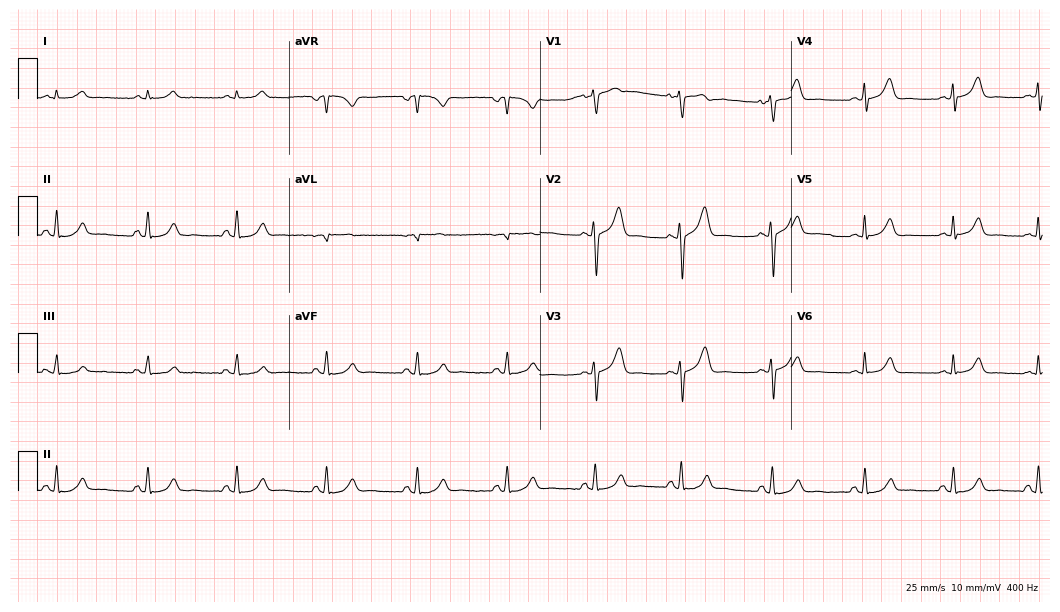
12-lead ECG from a 51-year-old female patient. No first-degree AV block, right bundle branch block (RBBB), left bundle branch block (LBBB), sinus bradycardia, atrial fibrillation (AF) or sinus tachycardia recorded for this tracing. Findings outside these six are not listed.